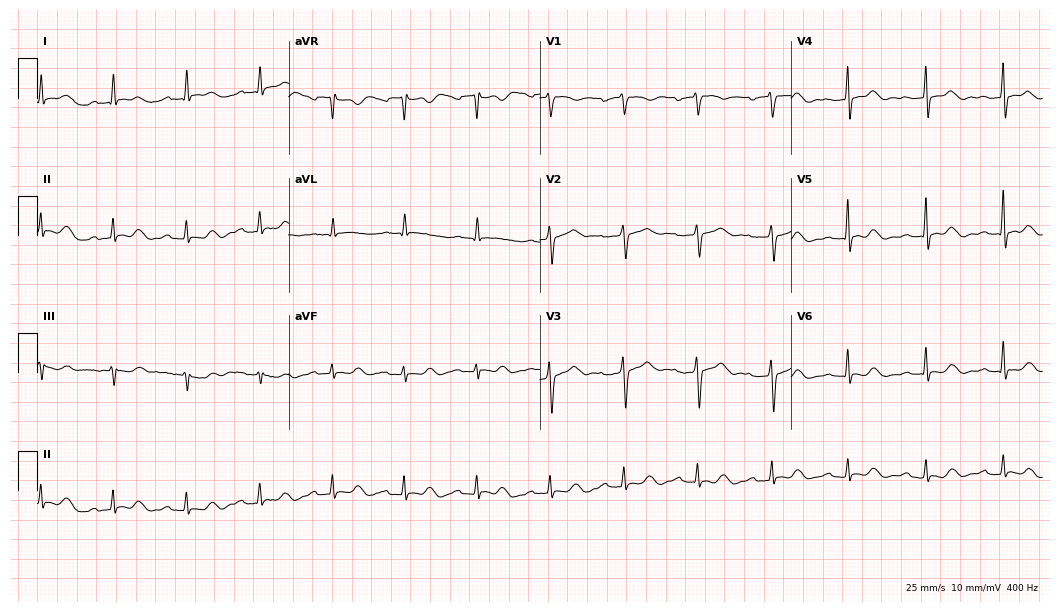
12-lead ECG (10.2-second recording at 400 Hz) from a female, 72 years old. Findings include first-degree AV block.